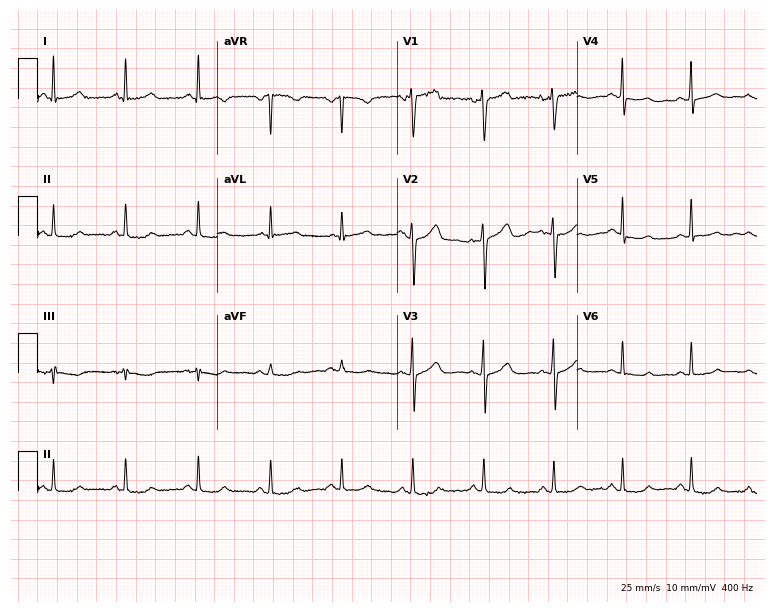
12-lead ECG from a 58-year-old woman. Recorded interpretation: within normal limits.